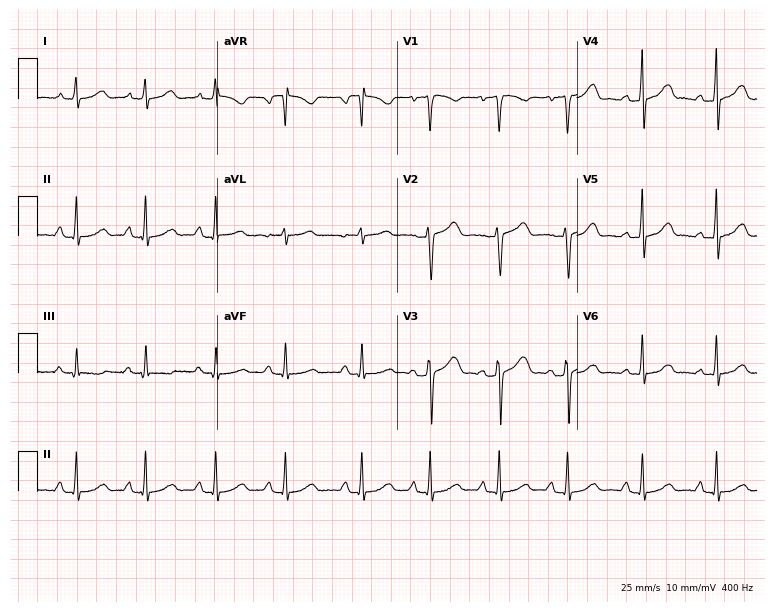
ECG — a woman, 43 years old. Labelled as a normal ECG.